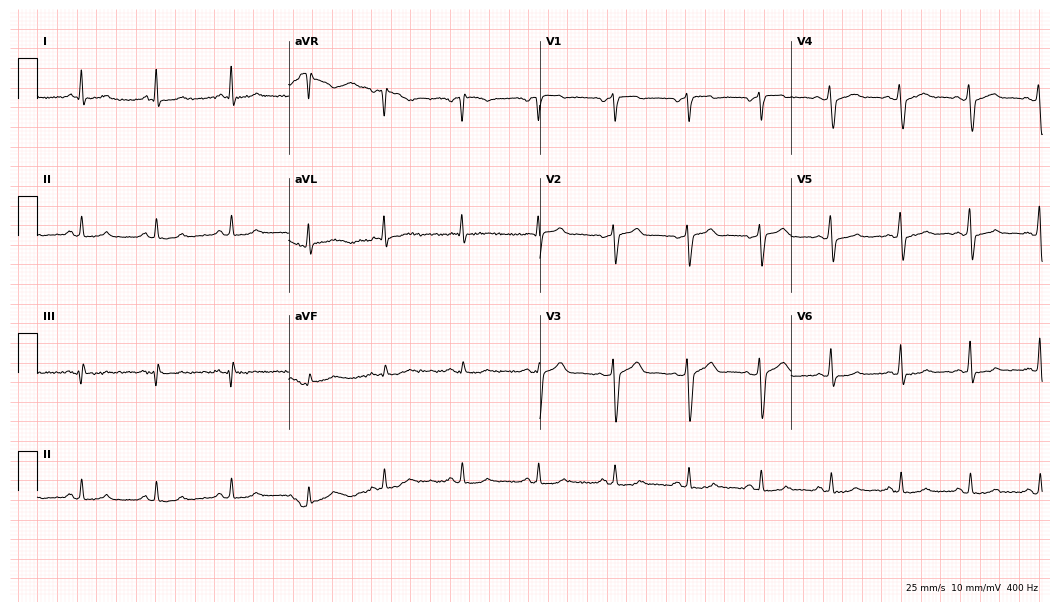
Electrocardiogram, a 44-year-old man. Of the six screened findings (first-degree AV block, right bundle branch block, left bundle branch block, sinus bradycardia, atrial fibrillation, sinus tachycardia), none is recorded. Findings outside these six are not listed.